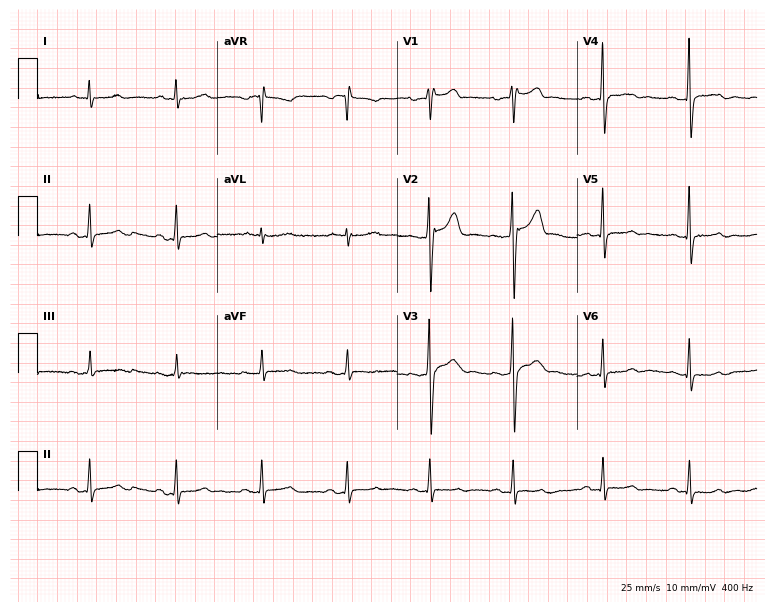
Electrocardiogram, a male patient, 51 years old. Overall reading on record: normal ECG.